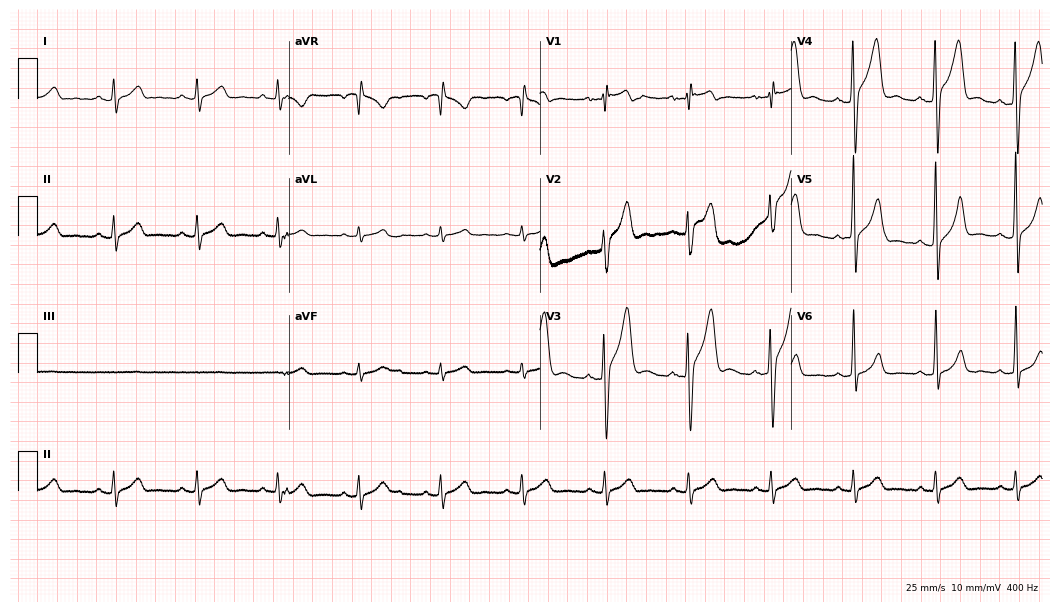
ECG — a male, 19 years old. Screened for six findings — first-degree AV block, right bundle branch block, left bundle branch block, sinus bradycardia, atrial fibrillation, sinus tachycardia — none is recorded.